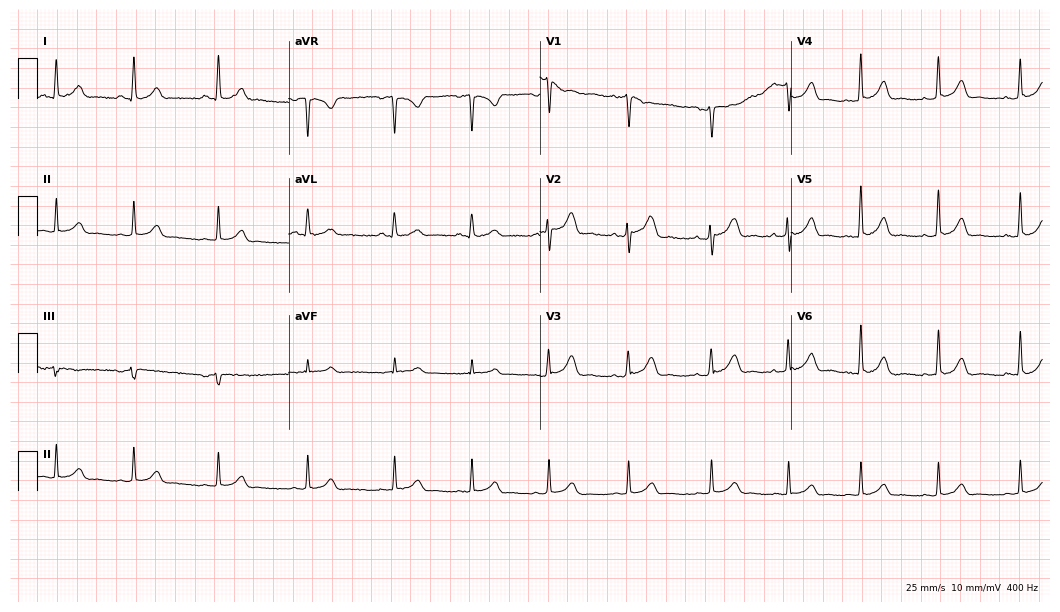
Resting 12-lead electrocardiogram. Patient: a woman, 23 years old. None of these six findings is recorded: first-degree AV block, right bundle branch block (RBBB), left bundle branch block (LBBB), sinus bradycardia, atrial fibrillation (AF), sinus tachycardia.